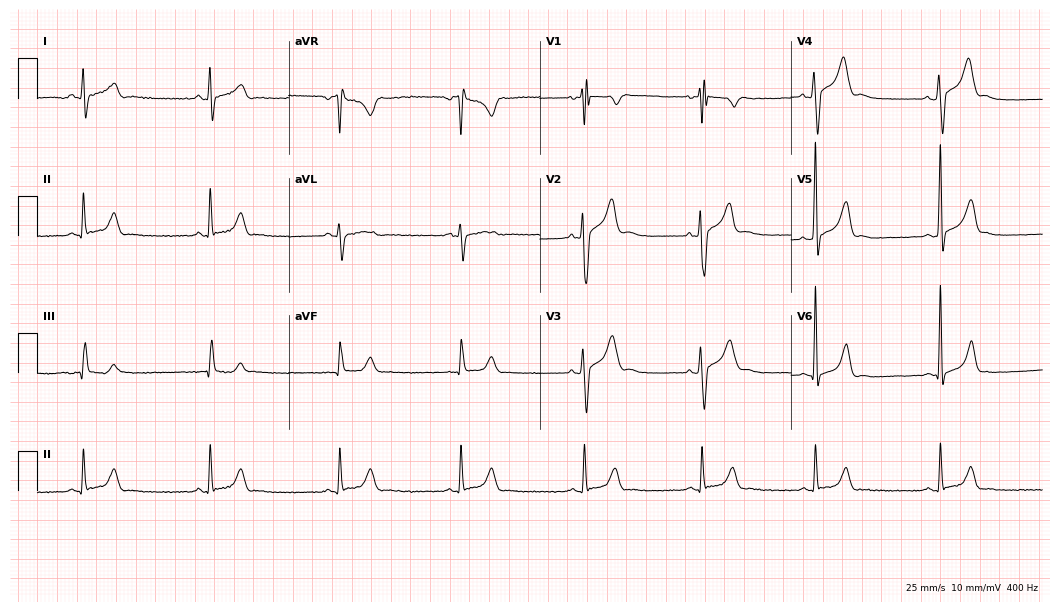
ECG (10.2-second recording at 400 Hz) — a 20-year-old man. Findings include sinus bradycardia (a sinus rate of 50 beats per minute or less).